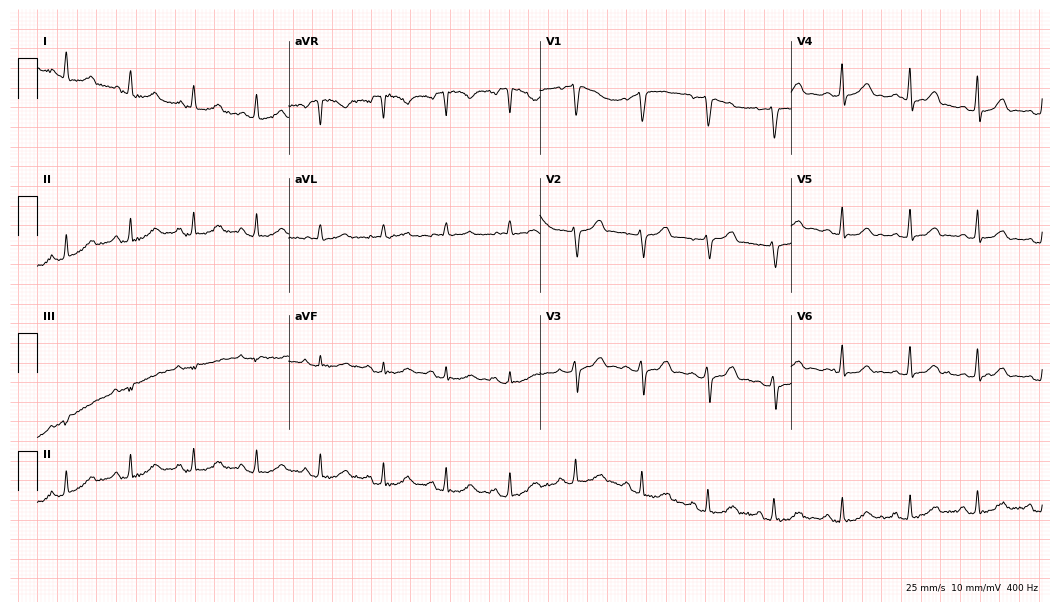
ECG — a woman, 41 years old. Labelled as a normal ECG.